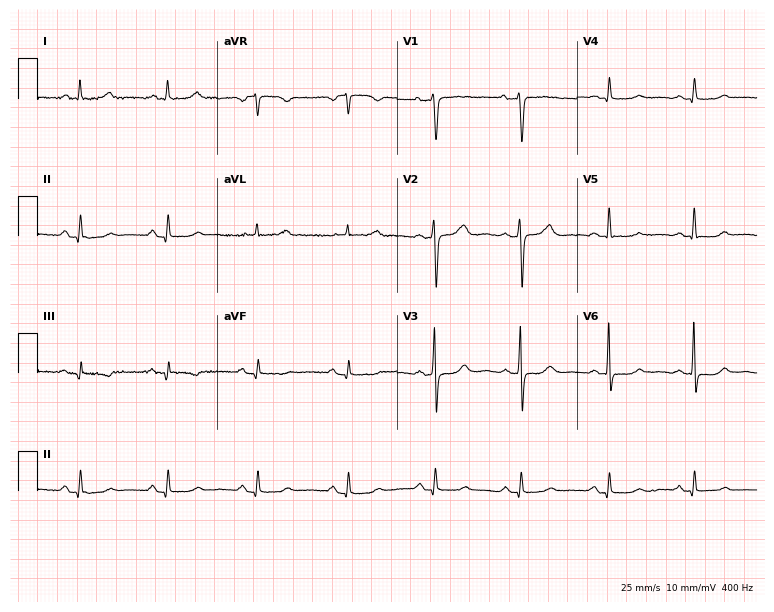
Standard 12-lead ECG recorded from a 59-year-old female. None of these six findings is recorded: first-degree AV block, right bundle branch block, left bundle branch block, sinus bradycardia, atrial fibrillation, sinus tachycardia. Only these six findings were labelled.